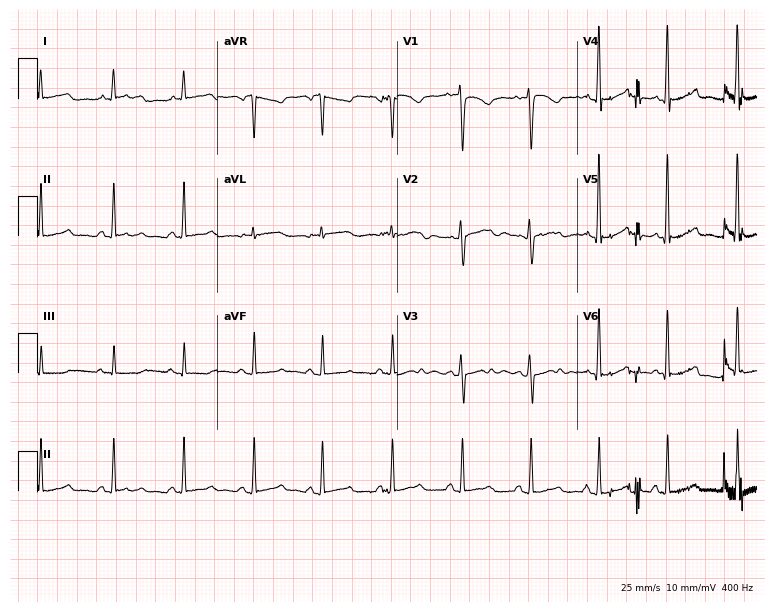
12-lead ECG from a 34-year-old woman (7.3-second recording at 400 Hz). Recorded interpretation: within normal limits.